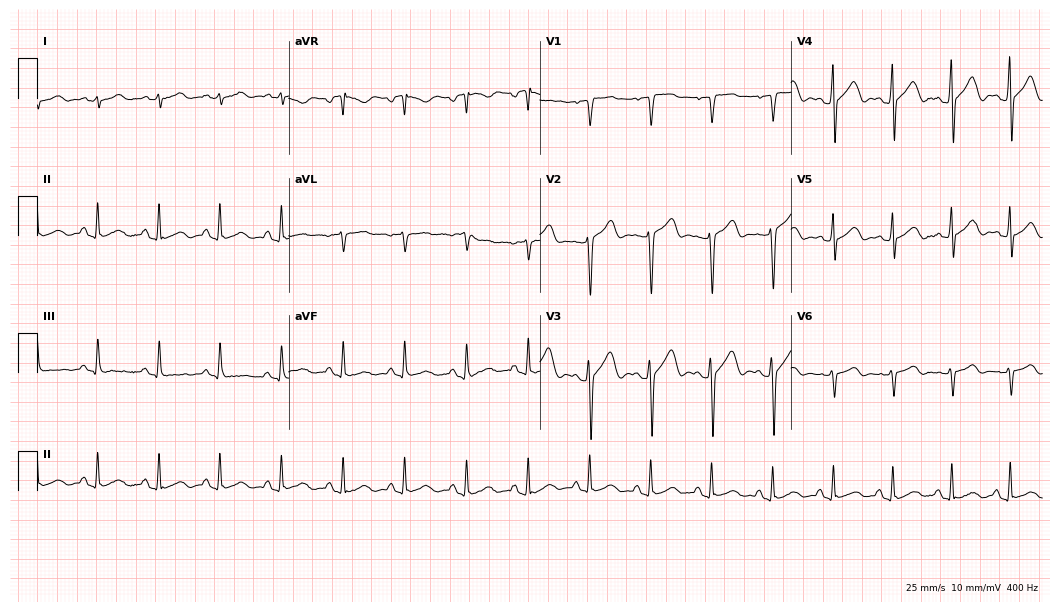
12-lead ECG from a 52-year-old female patient (10.2-second recording at 400 Hz). No first-degree AV block, right bundle branch block, left bundle branch block, sinus bradycardia, atrial fibrillation or sinus tachycardia recorded for this tracing.